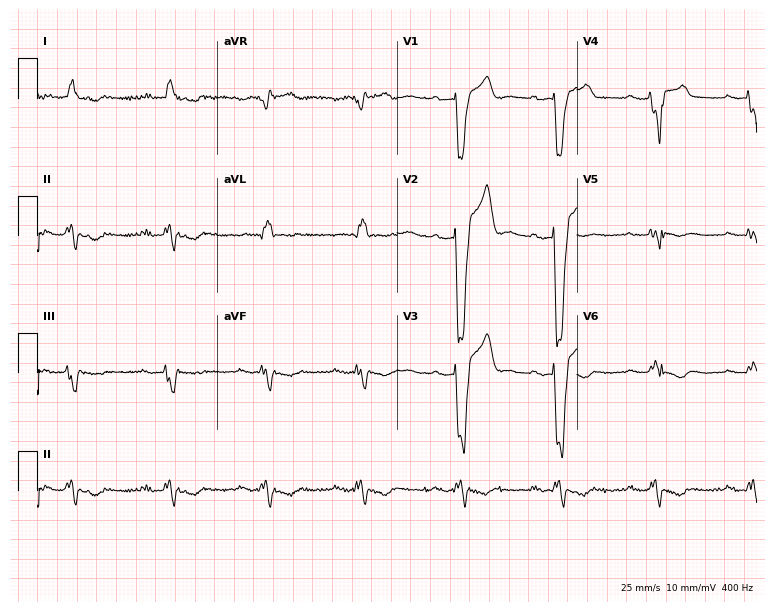
Standard 12-lead ECG recorded from a 69-year-old man. The tracing shows first-degree AV block, left bundle branch block (LBBB).